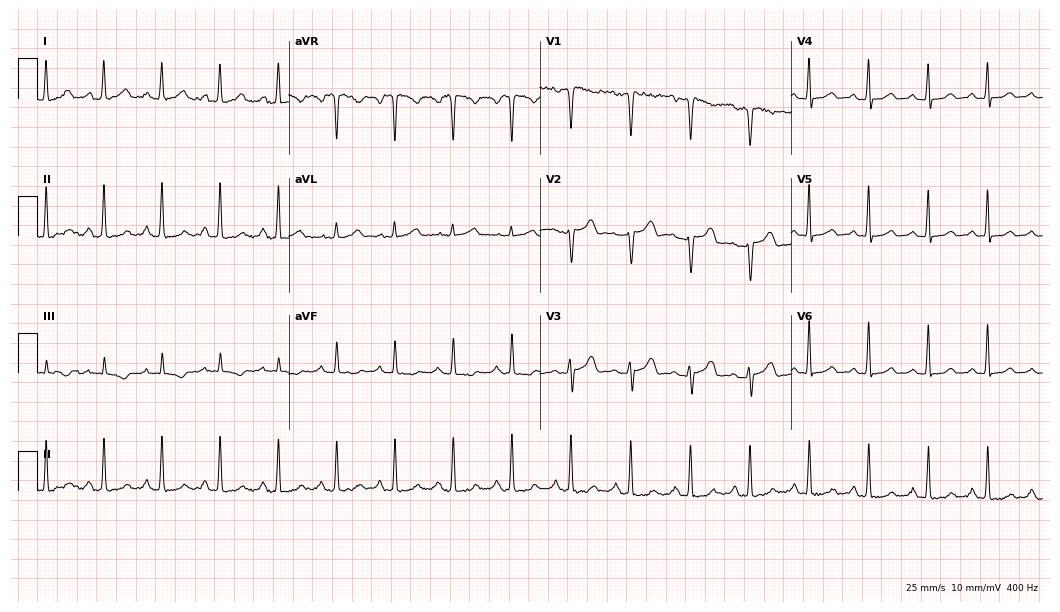
12-lead ECG from a female patient, 45 years old. No first-degree AV block, right bundle branch block, left bundle branch block, sinus bradycardia, atrial fibrillation or sinus tachycardia recorded for this tracing. Findings outside these six are not listed.